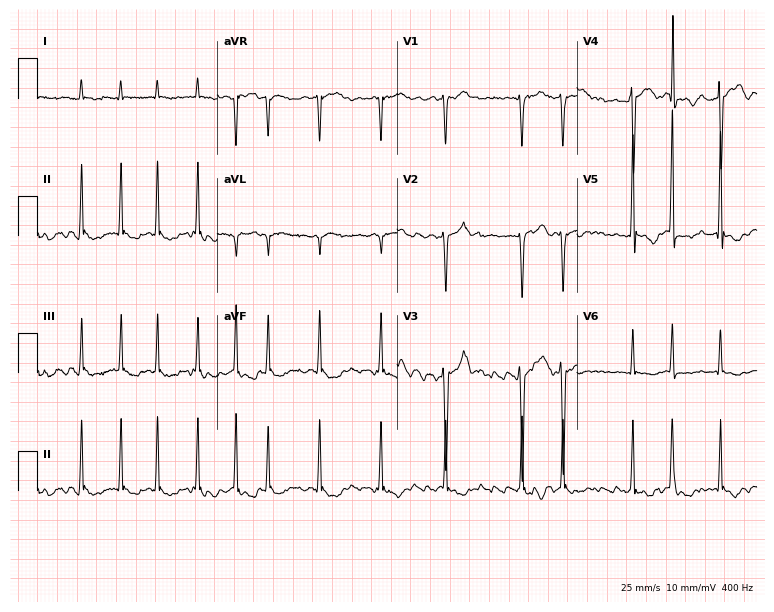
ECG — an 80-year-old man. Findings include atrial fibrillation (AF).